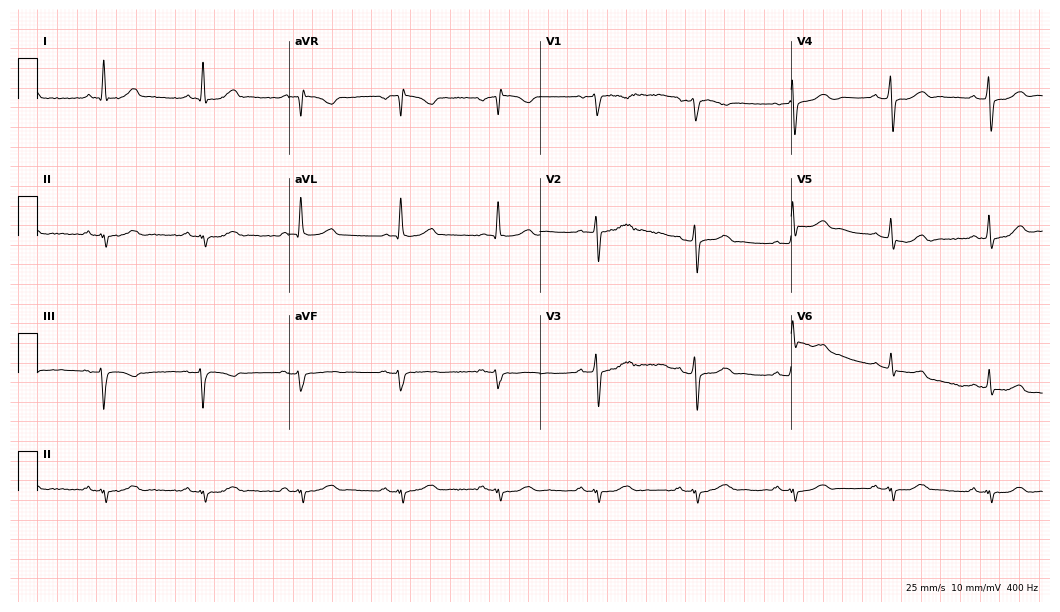
Standard 12-lead ECG recorded from a 78-year-old man. None of these six findings is recorded: first-degree AV block, right bundle branch block, left bundle branch block, sinus bradycardia, atrial fibrillation, sinus tachycardia.